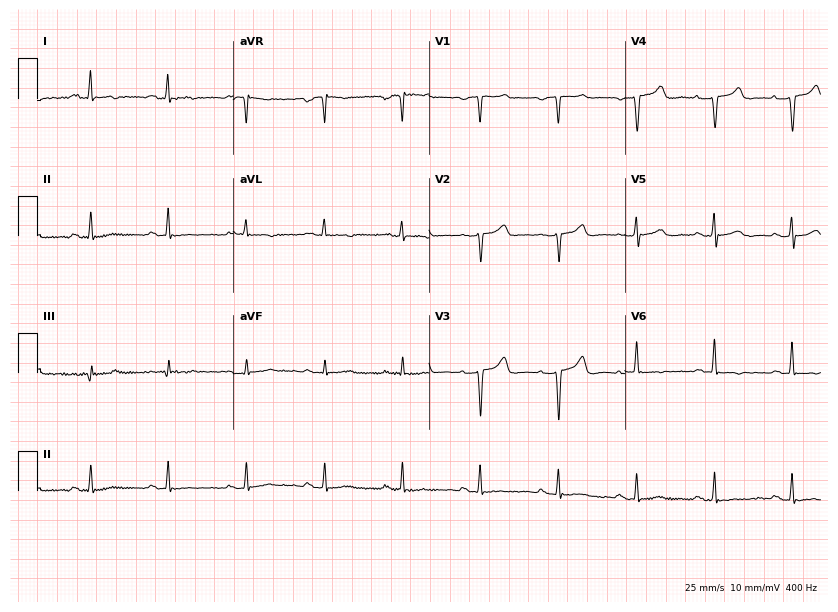
Standard 12-lead ECG recorded from a 63-year-old female patient. None of these six findings is recorded: first-degree AV block, right bundle branch block, left bundle branch block, sinus bradycardia, atrial fibrillation, sinus tachycardia.